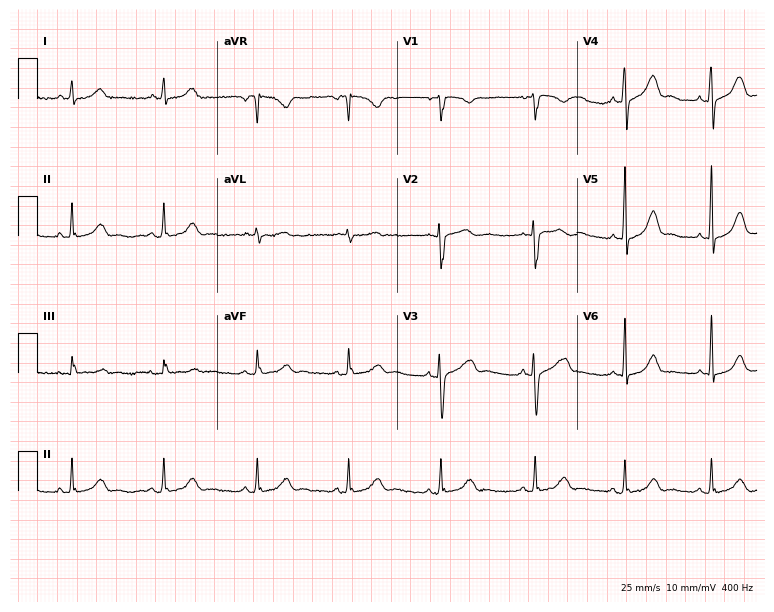
12-lead ECG (7.3-second recording at 400 Hz) from a female patient, 23 years old. Screened for six findings — first-degree AV block, right bundle branch block, left bundle branch block, sinus bradycardia, atrial fibrillation, sinus tachycardia — none is recorded.